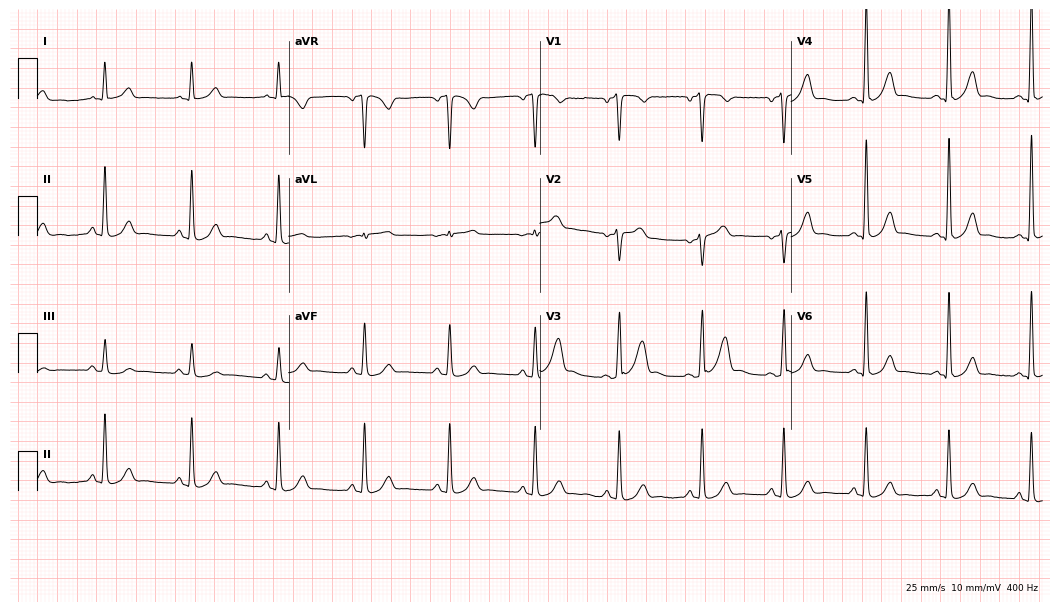
Resting 12-lead electrocardiogram (10.2-second recording at 400 Hz). Patient: a 54-year-old male. Read as a normal ECG.